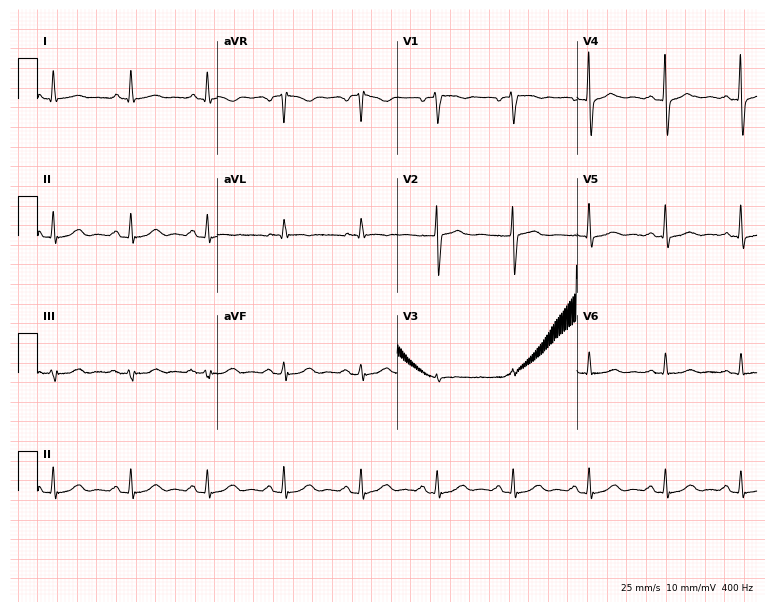
12-lead ECG from a 62-year-old male. No first-degree AV block, right bundle branch block (RBBB), left bundle branch block (LBBB), sinus bradycardia, atrial fibrillation (AF) or sinus tachycardia recorded for this tracing. Only these six findings were labelled.